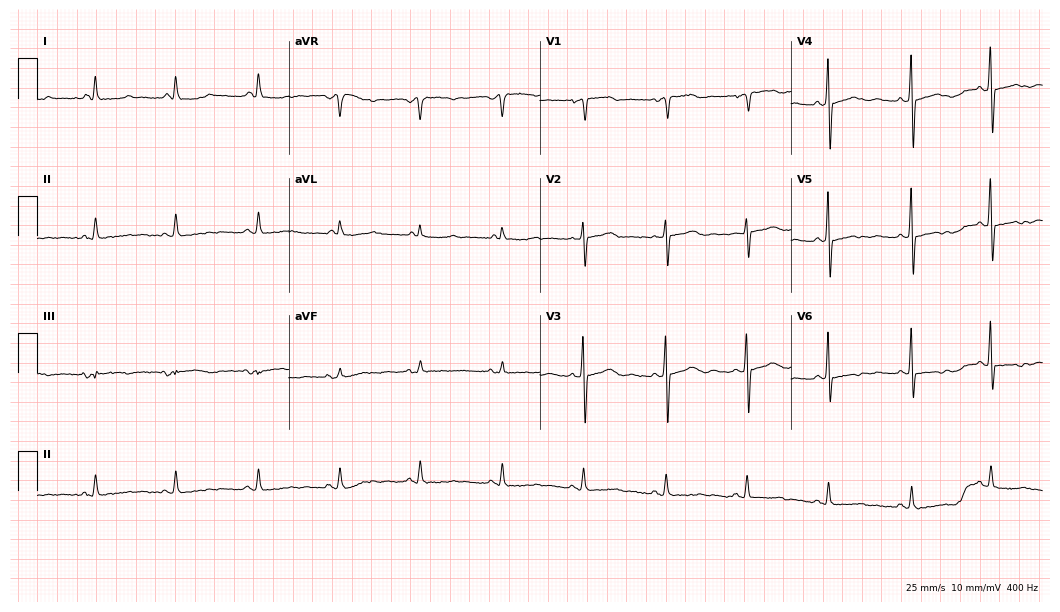
ECG — a 74-year-old female patient. Screened for six findings — first-degree AV block, right bundle branch block, left bundle branch block, sinus bradycardia, atrial fibrillation, sinus tachycardia — none is recorded.